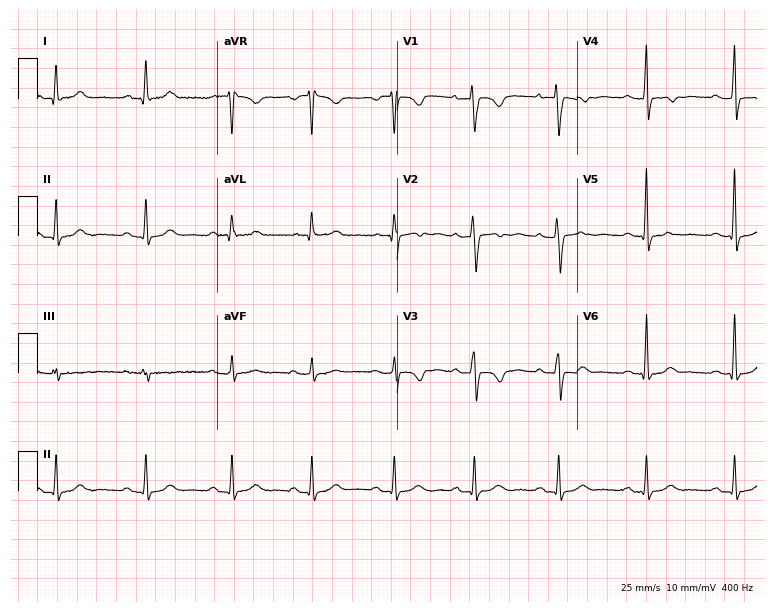
12-lead ECG from a 35-year-old female patient (7.3-second recording at 400 Hz). No first-degree AV block, right bundle branch block (RBBB), left bundle branch block (LBBB), sinus bradycardia, atrial fibrillation (AF) or sinus tachycardia recorded for this tracing. Only these six findings were labelled.